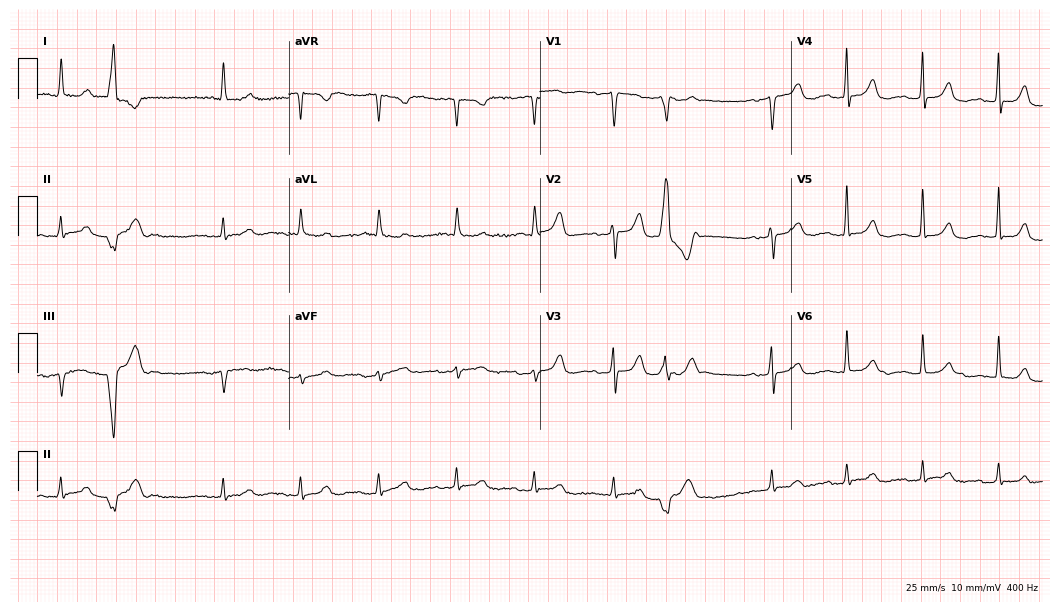
Resting 12-lead electrocardiogram. Patient: a woman, 85 years old. None of these six findings is recorded: first-degree AV block, right bundle branch block, left bundle branch block, sinus bradycardia, atrial fibrillation, sinus tachycardia.